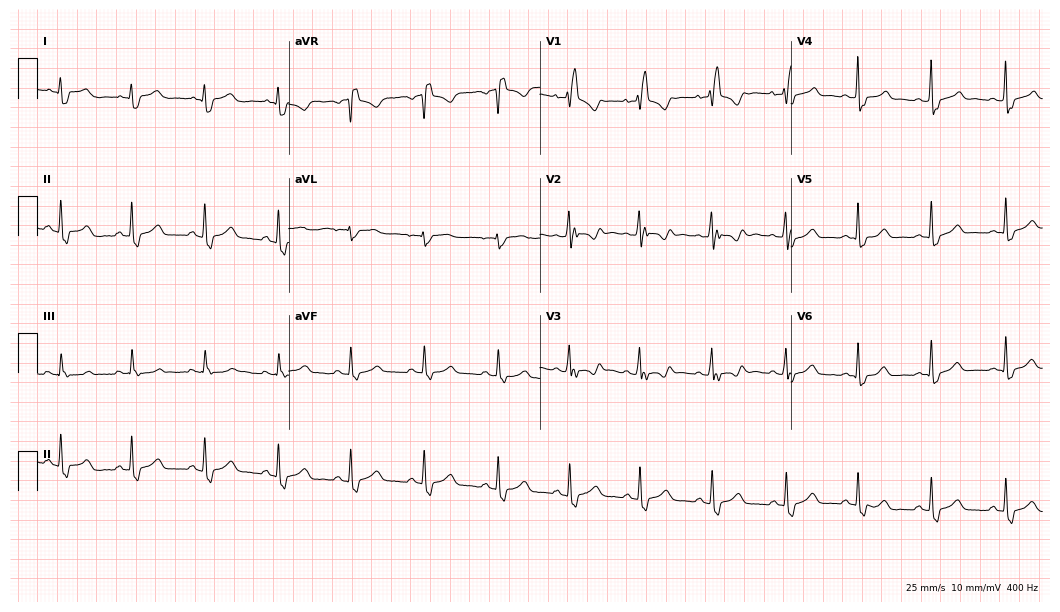
Electrocardiogram (10.2-second recording at 400 Hz), a 20-year-old female. Of the six screened findings (first-degree AV block, right bundle branch block (RBBB), left bundle branch block (LBBB), sinus bradycardia, atrial fibrillation (AF), sinus tachycardia), none is recorded. Other findings, if any, are not listed.